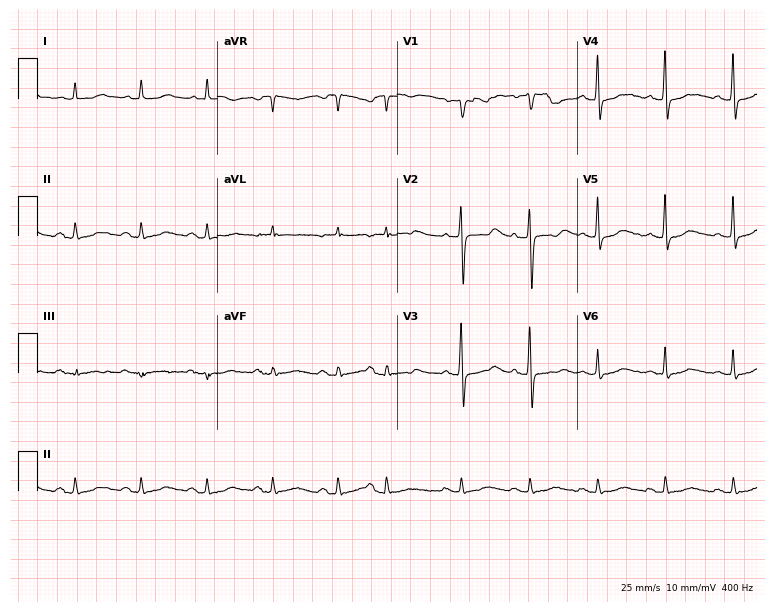
Standard 12-lead ECG recorded from a 66-year-old male (7.3-second recording at 400 Hz). None of these six findings is recorded: first-degree AV block, right bundle branch block, left bundle branch block, sinus bradycardia, atrial fibrillation, sinus tachycardia.